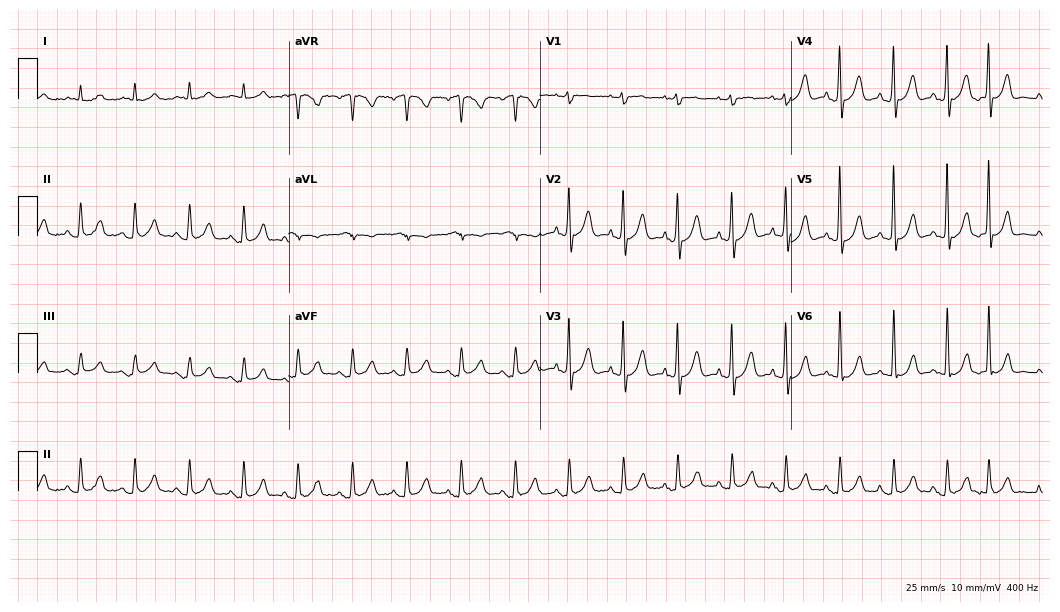
12-lead ECG from a male patient, 80 years old (10.2-second recording at 400 Hz). Shows sinus tachycardia (a sinus rate of 100 beats per minute or more).